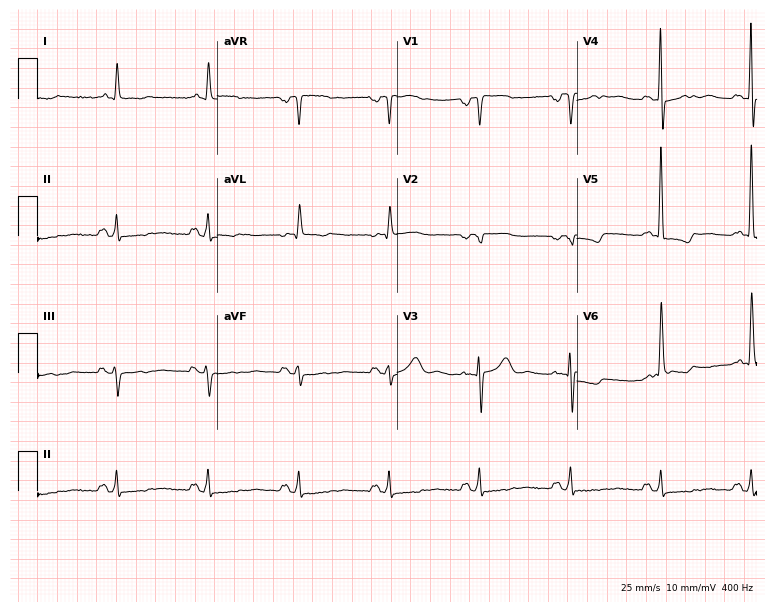
12-lead ECG (7.3-second recording at 400 Hz) from a 67-year-old man. Screened for six findings — first-degree AV block, right bundle branch block (RBBB), left bundle branch block (LBBB), sinus bradycardia, atrial fibrillation (AF), sinus tachycardia — none is recorded. Findings outside these six are not listed.